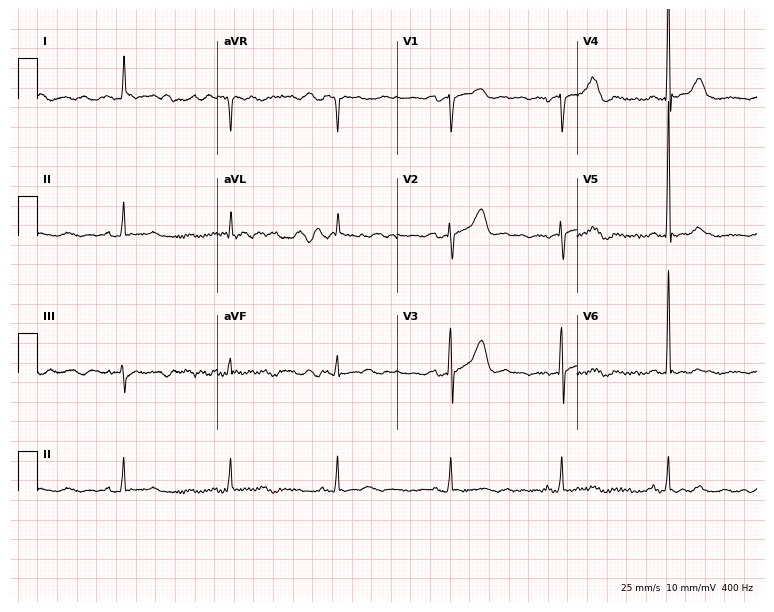
Electrocardiogram (7.3-second recording at 400 Hz), an 81-year-old male patient. Overall reading on record: normal ECG.